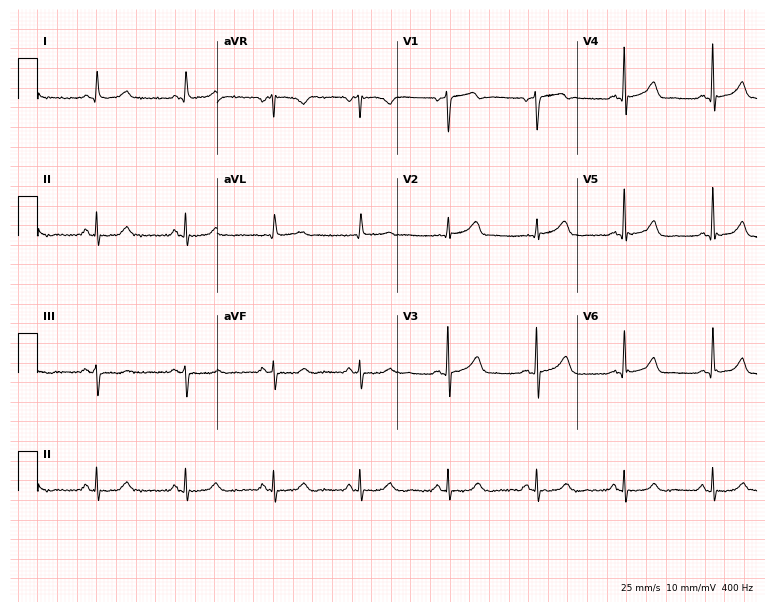
12-lead ECG from a man, 65 years old (7.3-second recording at 400 Hz). Recorded interpretation: within normal limits.